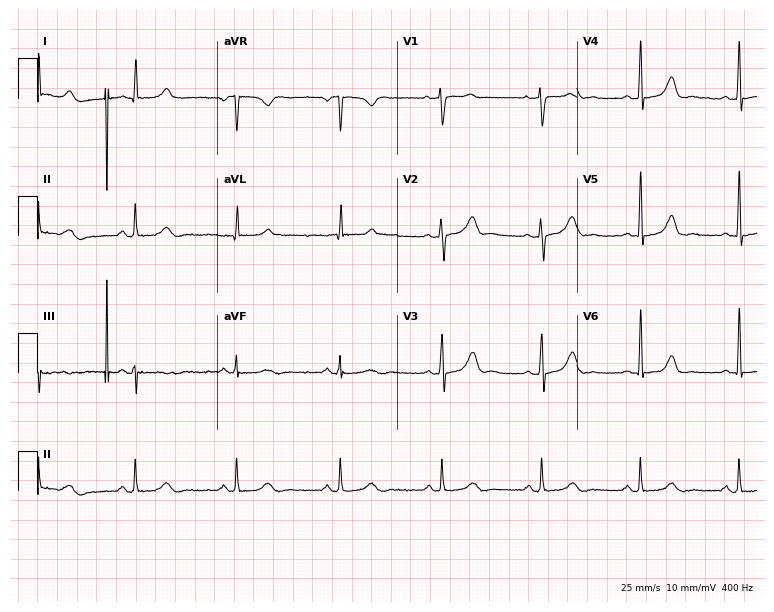
12-lead ECG from a 56-year-old woman. No first-degree AV block, right bundle branch block, left bundle branch block, sinus bradycardia, atrial fibrillation or sinus tachycardia recorded for this tracing. Other findings, if any, are not listed.